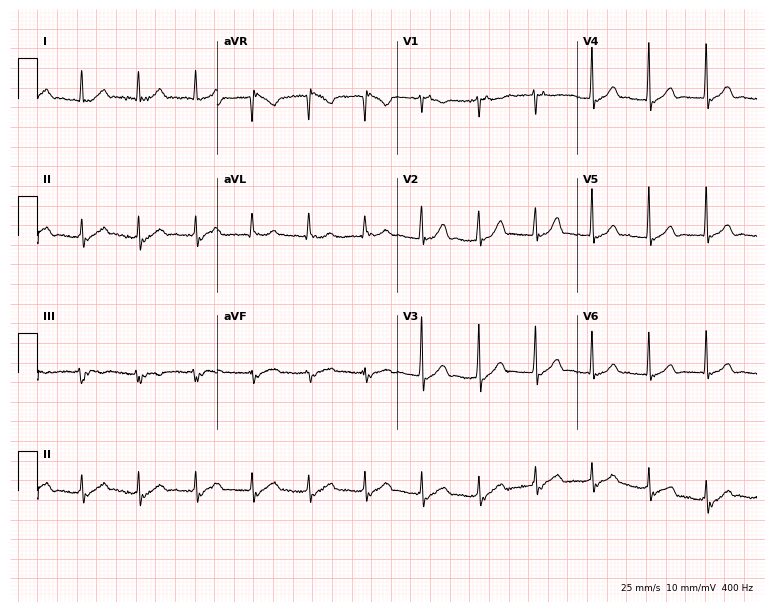
12-lead ECG from a 35-year-old female patient. Screened for six findings — first-degree AV block, right bundle branch block, left bundle branch block, sinus bradycardia, atrial fibrillation, sinus tachycardia — none is recorded. Only these six findings were labelled.